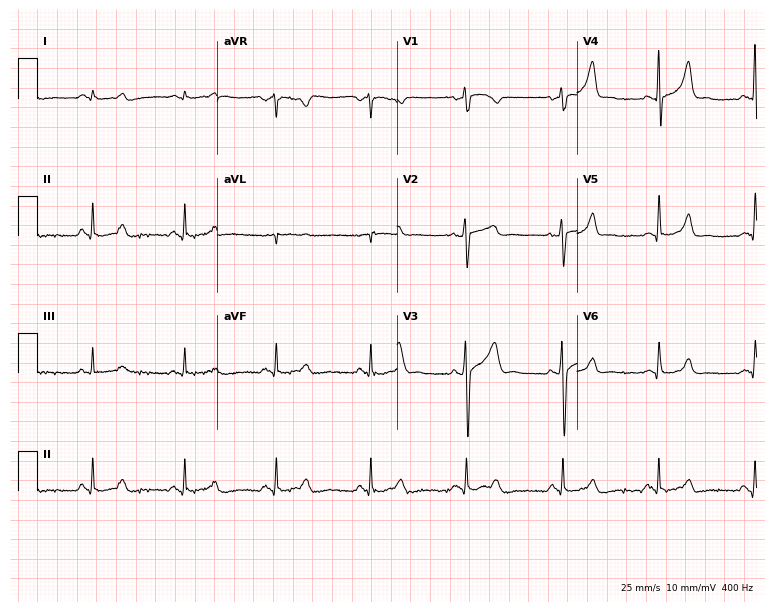
12-lead ECG from a man, 46 years old. Screened for six findings — first-degree AV block, right bundle branch block, left bundle branch block, sinus bradycardia, atrial fibrillation, sinus tachycardia — none is recorded.